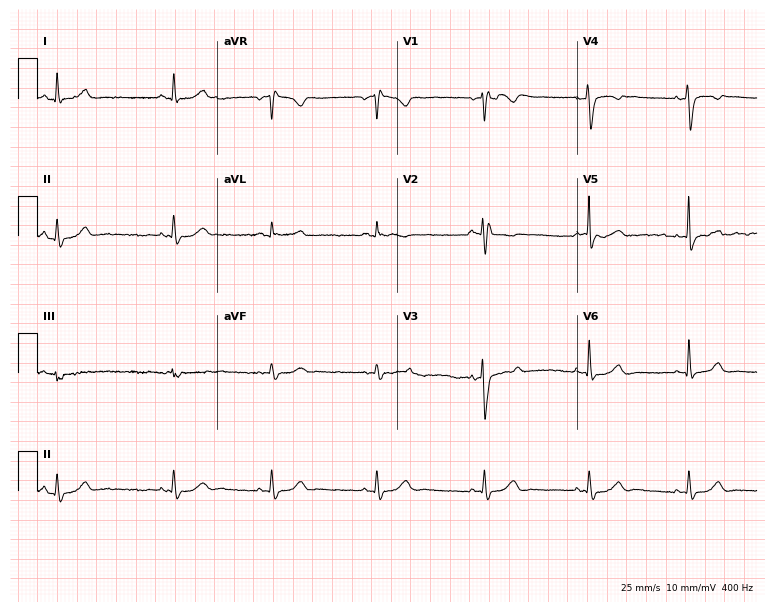
ECG — a 22-year-old woman. Screened for six findings — first-degree AV block, right bundle branch block, left bundle branch block, sinus bradycardia, atrial fibrillation, sinus tachycardia — none is recorded.